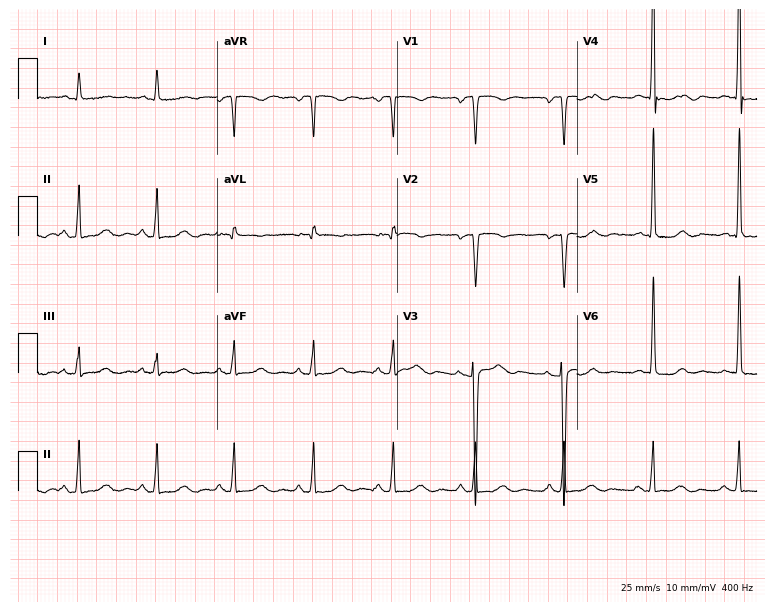
Resting 12-lead electrocardiogram. Patient: a female, 21 years old. None of these six findings is recorded: first-degree AV block, right bundle branch block, left bundle branch block, sinus bradycardia, atrial fibrillation, sinus tachycardia. Other findings, if any, are not listed.